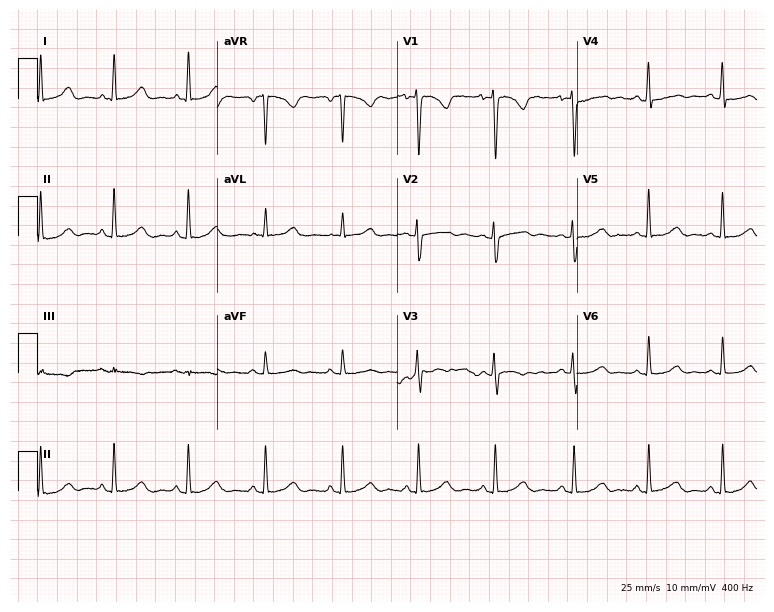
ECG (7.3-second recording at 400 Hz) — a 30-year-old female patient. Labelled as a normal ECG.